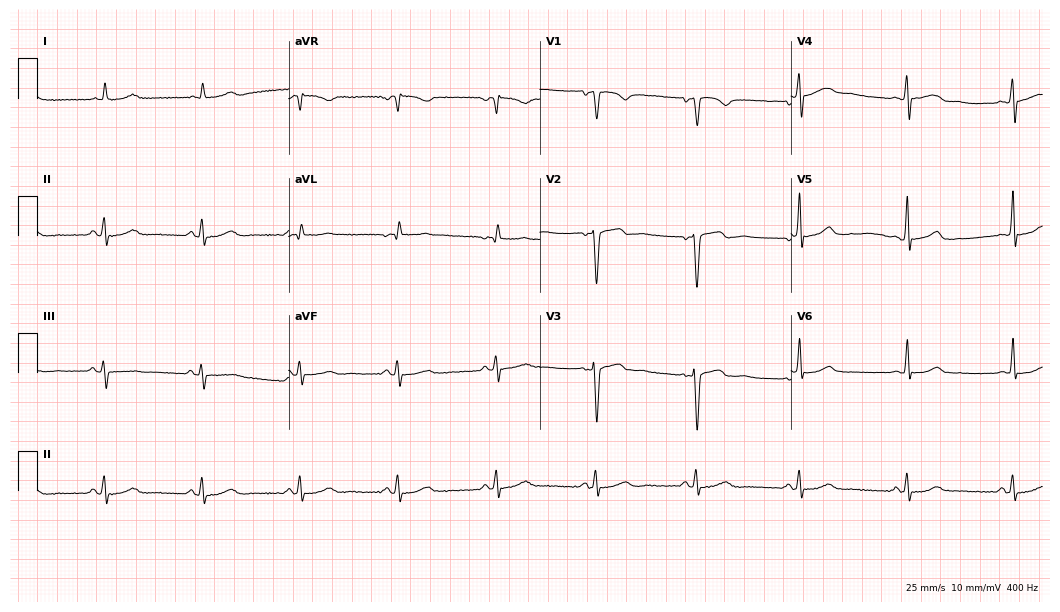
12-lead ECG from a 67-year-old male patient (10.2-second recording at 400 Hz). No first-degree AV block, right bundle branch block, left bundle branch block, sinus bradycardia, atrial fibrillation or sinus tachycardia recorded for this tracing. Only these six findings were labelled.